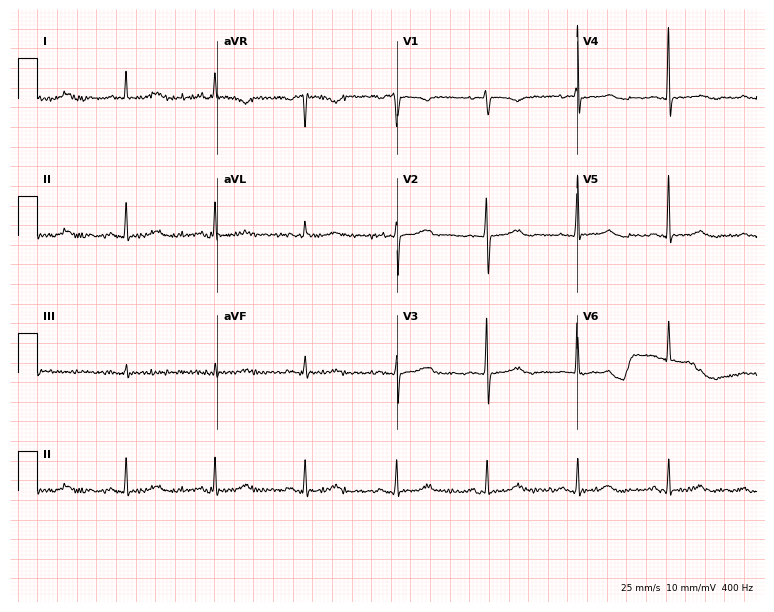
ECG (7.3-second recording at 400 Hz) — a female patient, 71 years old. Screened for six findings — first-degree AV block, right bundle branch block (RBBB), left bundle branch block (LBBB), sinus bradycardia, atrial fibrillation (AF), sinus tachycardia — none is recorded.